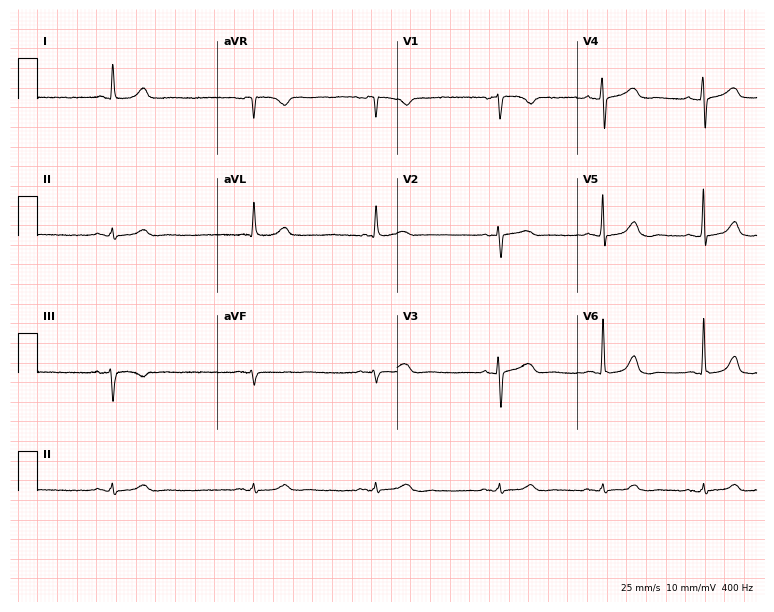
12-lead ECG from a 72-year-old woman. Findings include sinus bradycardia (a sinus rate of 50 beats per minute or less).